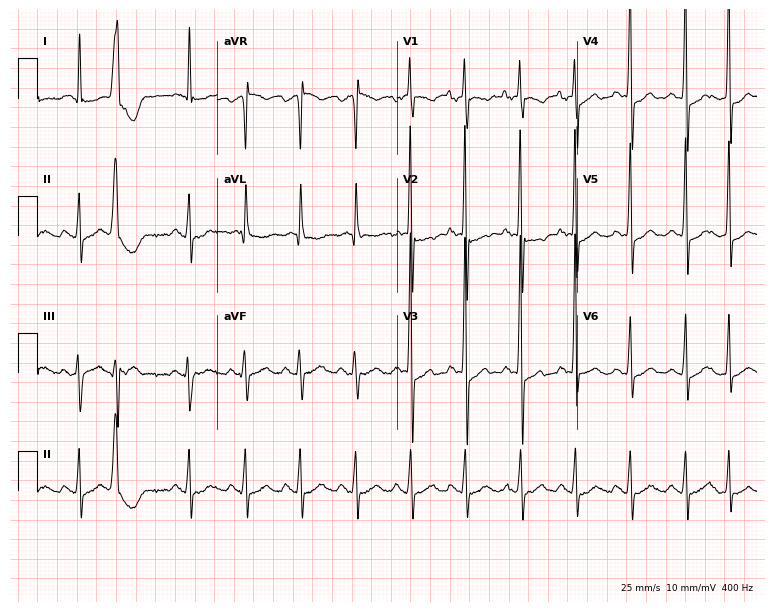
Resting 12-lead electrocardiogram (7.3-second recording at 400 Hz). Patient: a woman, 86 years old. The tracing shows sinus tachycardia (a sinus rate of 100 beats per minute or more).